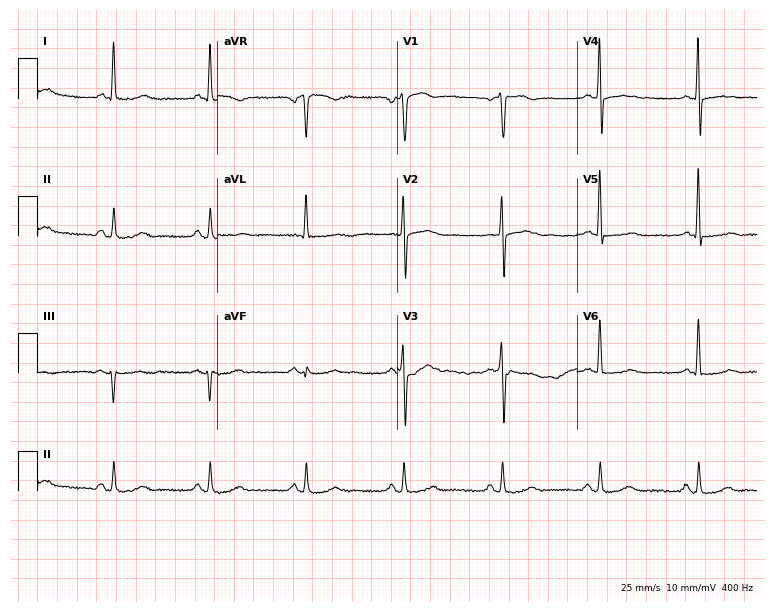
Standard 12-lead ECG recorded from a male, 77 years old. None of these six findings is recorded: first-degree AV block, right bundle branch block (RBBB), left bundle branch block (LBBB), sinus bradycardia, atrial fibrillation (AF), sinus tachycardia.